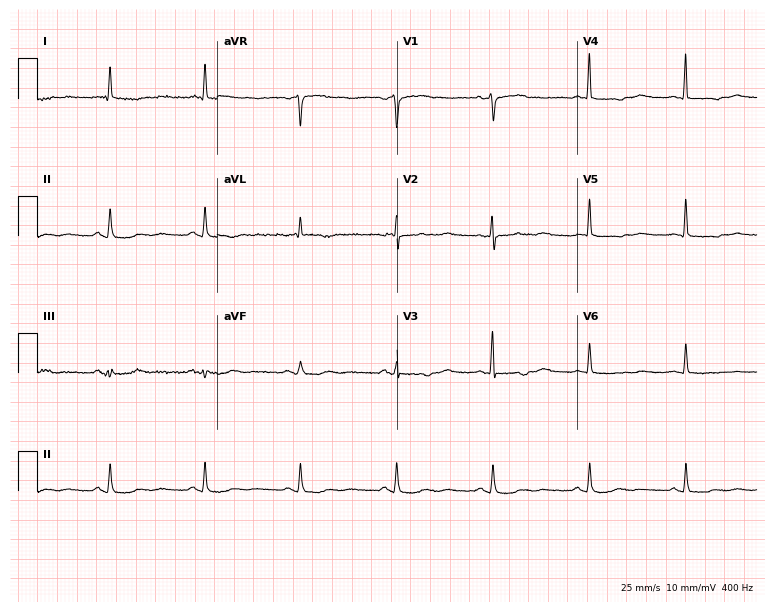
Standard 12-lead ECG recorded from a 75-year-old female patient (7.3-second recording at 400 Hz). None of these six findings is recorded: first-degree AV block, right bundle branch block, left bundle branch block, sinus bradycardia, atrial fibrillation, sinus tachycardia. Other findings, if any, are not listed.